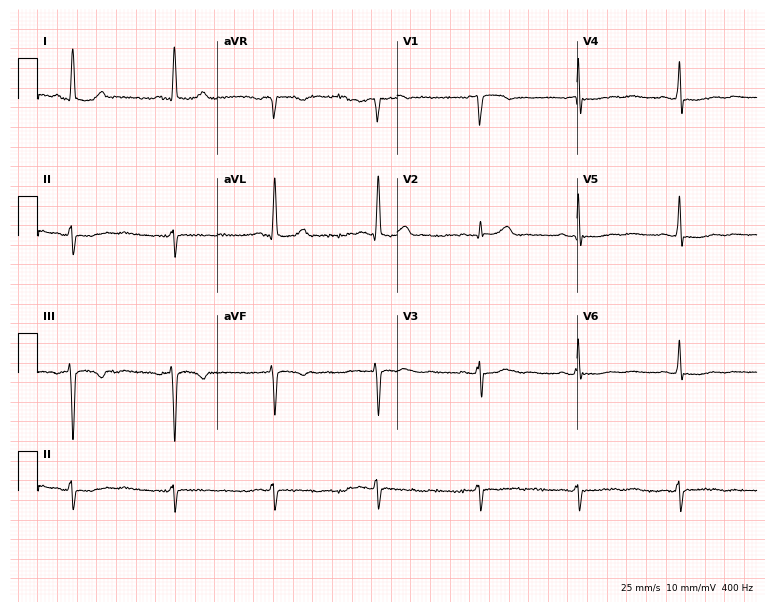
Resting 12-lead electrocardiogram. Patient: a female, 68 years old. None of these six findings is recorded: first-degree AV block, right bundle branch block, left bundle branch block, sinus bradycardia, atrial fibrillation, sinus tachycardia.